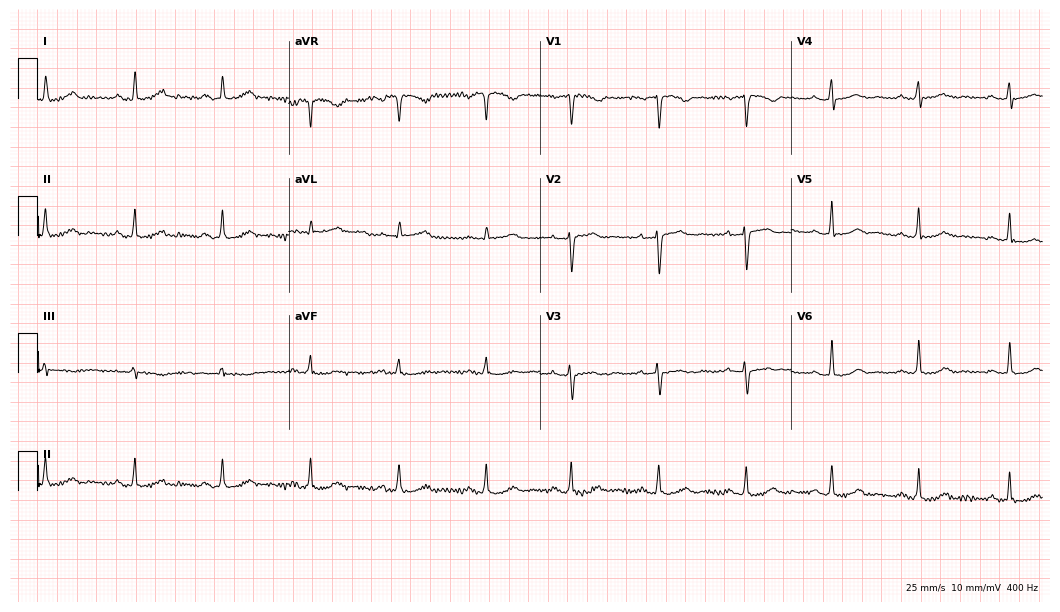
12-lead ECG from a woman, 48 years old. Labelled as a normal ECG.